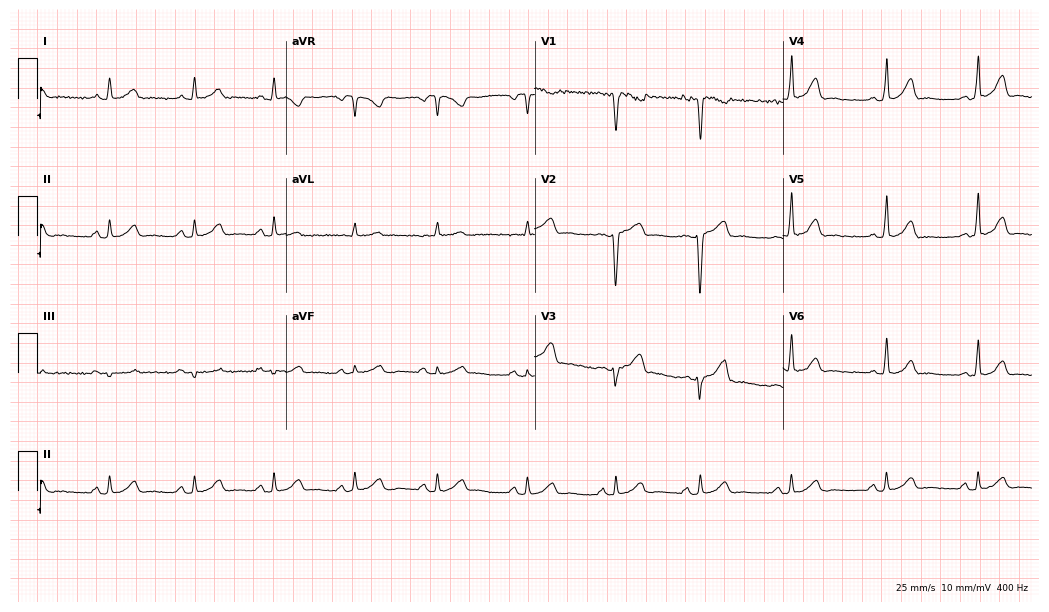
Standard 12-lead ECG recorded from a female, 33 years old (10.1-second recording at 400 Hz). None of these six findings is recorded: first-degree AV block, right bundle branch block (RBBB), left bundle branch block (LBBB), sinus bradycardia, atrial fibrillation (AF), sinus tachycardia.